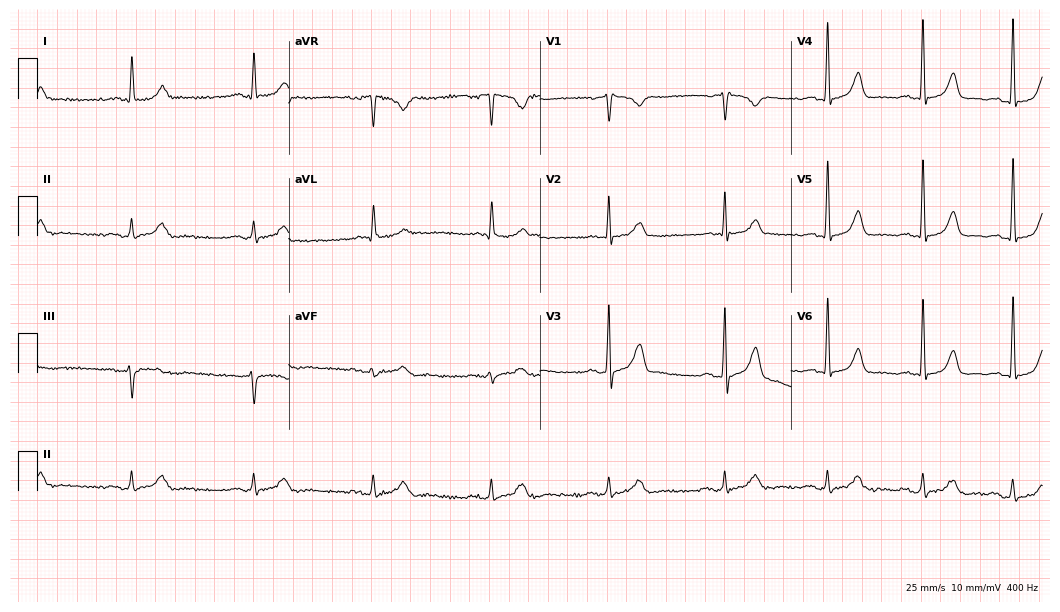
12-lead ECG (10.2-second recording at 400 Hz) from a man, 77 years old. Labelled as a normal ECG.